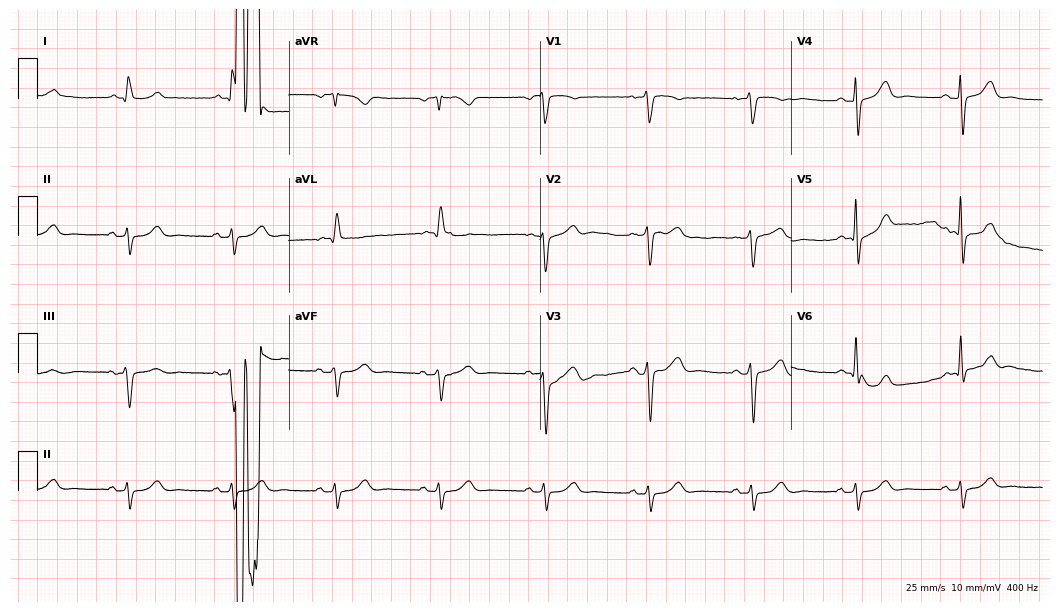
12-lead ECG (10.2-second recording at 400 Hz) from an 85-year-old male. Screened for six findings — first-degree AV block, right bundle branch block, left bundle branch block, sinus bradycardia, atrial fibrillation, sinus tachycardia — none is recorded.